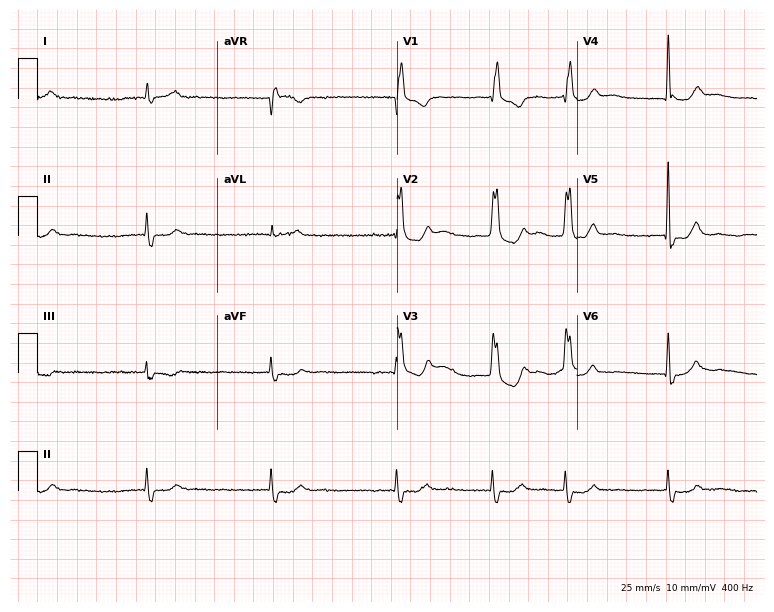
12-lead ECG (7.3-second recording at 400 Hz) from an 82-year-old woman. Findings include right bundle branch block.